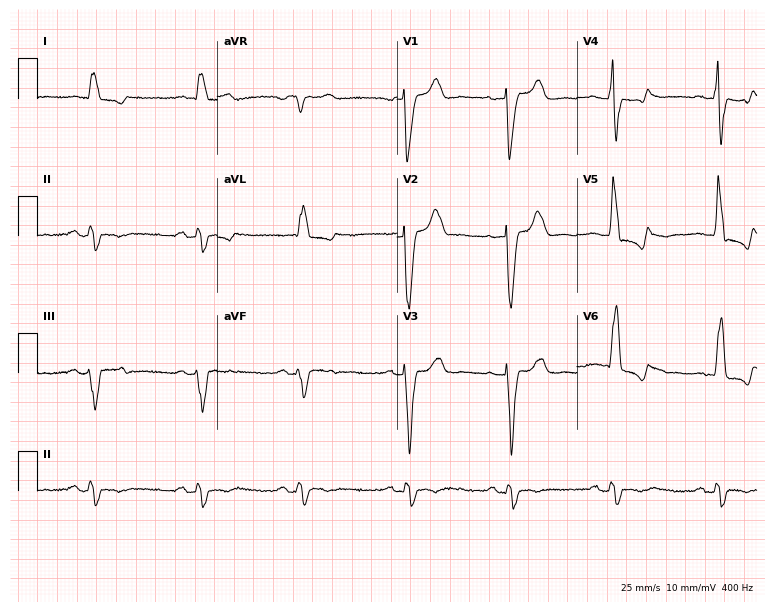
ECG (7.3-second recording at 400 Hz) — a woman, 72 years old. Findings include left bundle branch block.